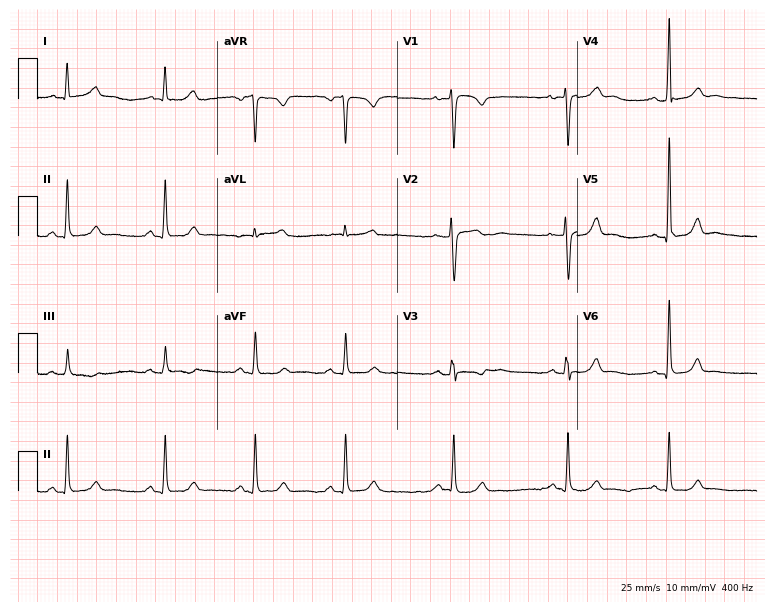
12-lead ECG (7.3-second recording at 400 Hz) from a female, 39 years old. Labelled as a normal ECG.